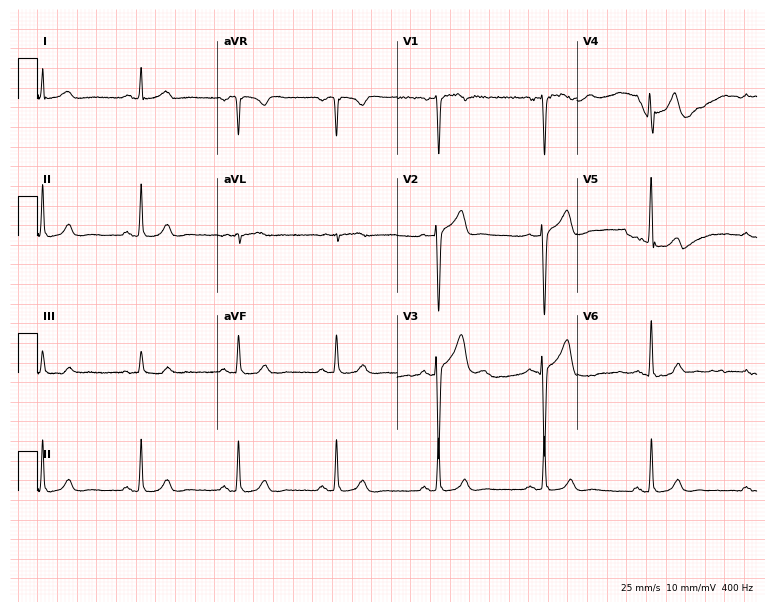
ECG — a 30-year-old male patient. Labelled as a normal ECG.